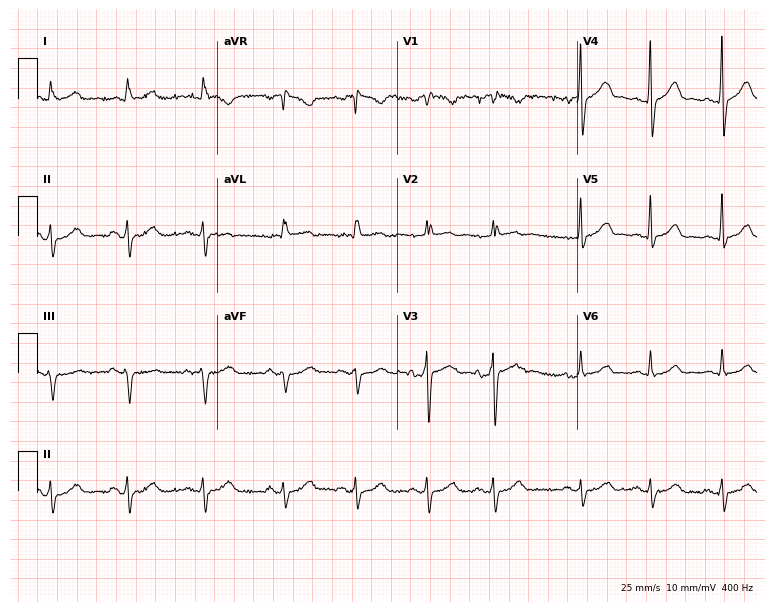
12-lead ECG from a 56-year-old male patient (7.3-second recording at 400 Hz). No first-degree AV block, right bundle branch block, left bundle branch block, sinus bradycardia, atrial fibrillation or sinus tachycardia recorded for this tracing.